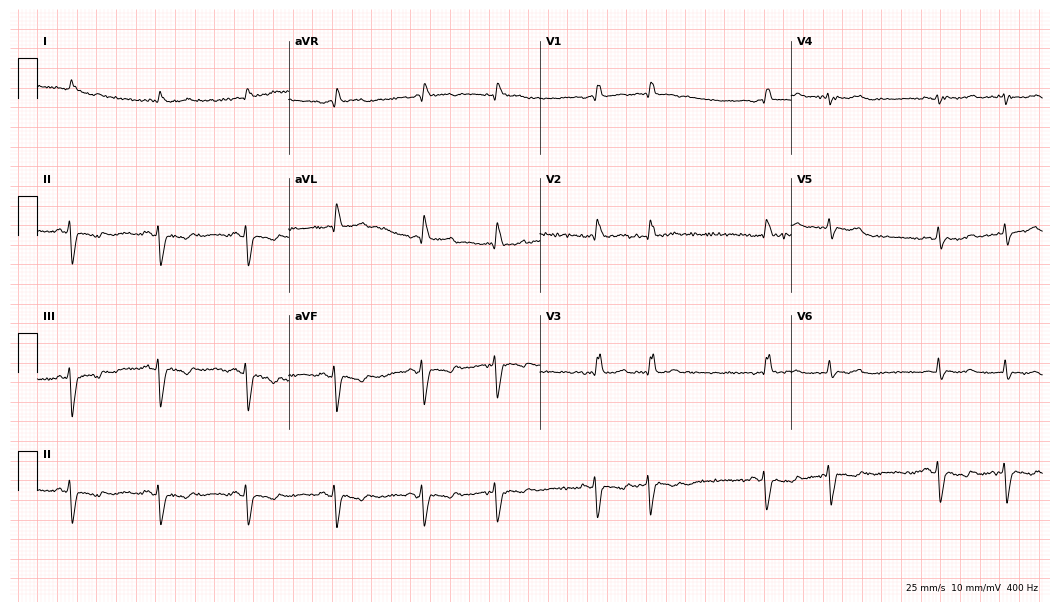
Standard 12-lead ECG recorded from a male patient, 72 years old (10.2-second recording at 400 Hz). None of these six findings is recorded: first-degree AV block, right bundle branch block, left bundle branch block, sinus bradycardia, atrial fibrillation, sinus tachycardia. Other findings, if any, are not listed.